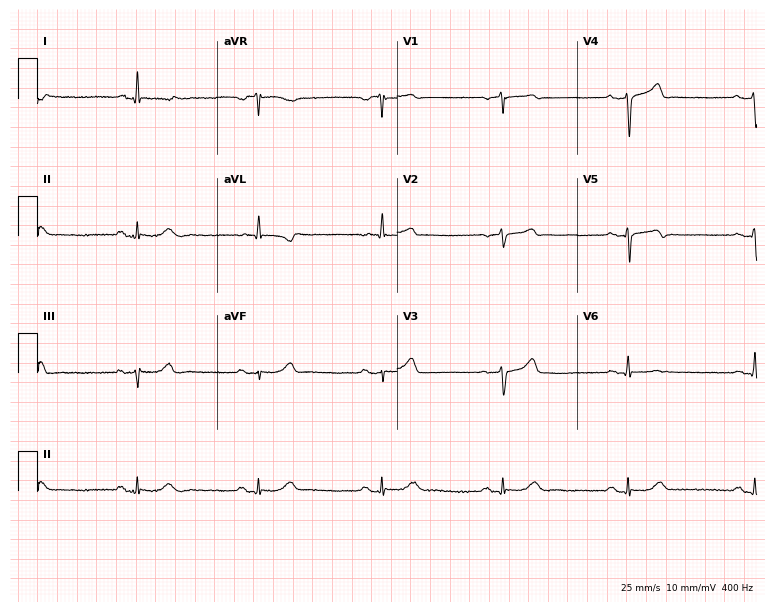
Standard 12-lead ECG recorded from a female patient, 75 years old (7.3-second recording at 400 Hz). The tracing shows sinus bradycardia (a sinus rate of 50 beats per minute or less).